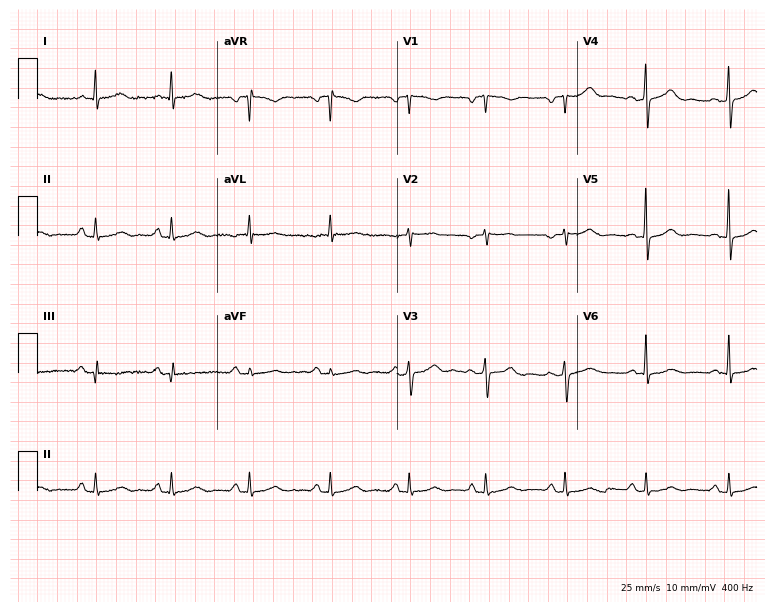
12-lead ECG from a male patient, 82 years old. Labelled as a normal ECG.